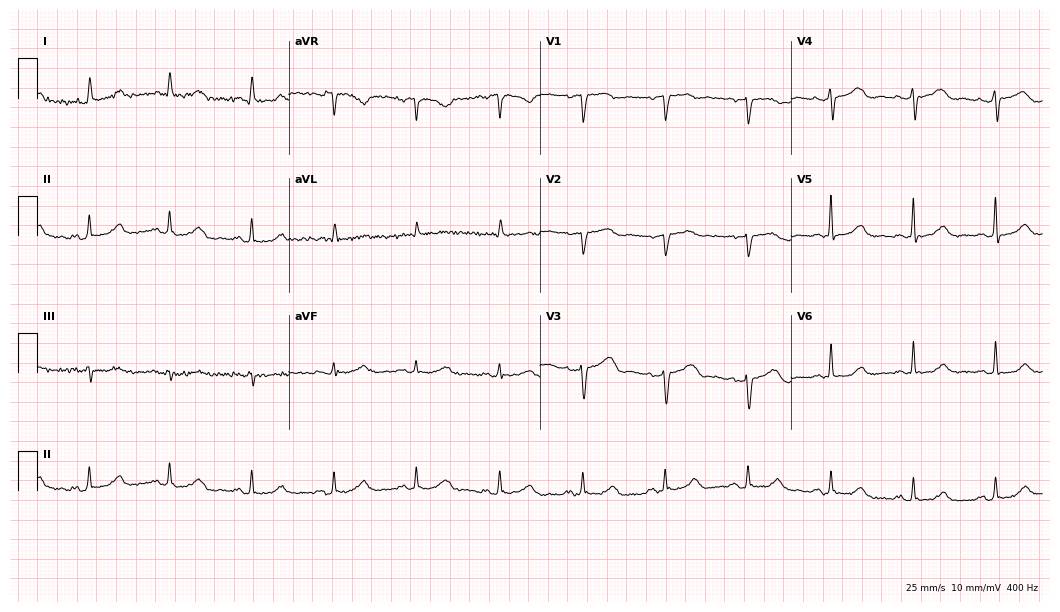
12-lead ECG from a woman, 74 years old (10.2-second recording at 400 Hz). Recorded interpretation: within normal limits.